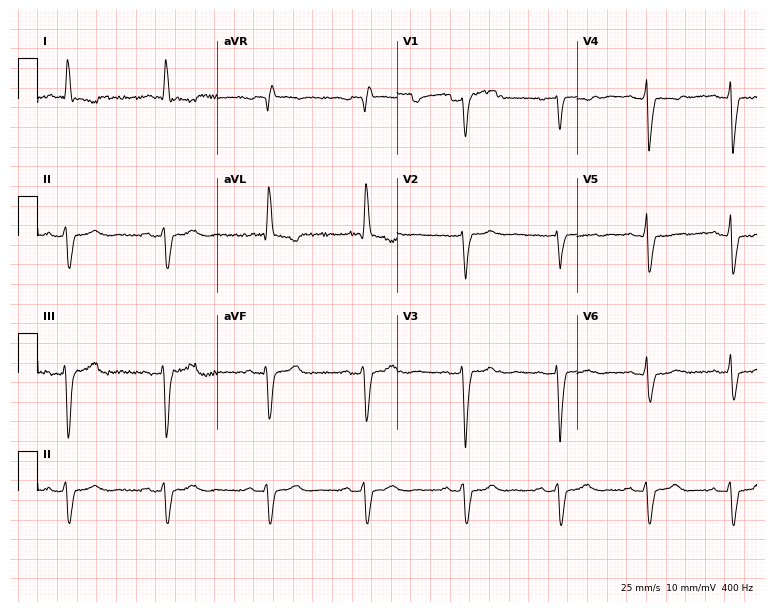
12-lead ECG (7.3-second recording at 400 Hz) from a 75-year-old female. Screened for six findings — first-degree AV block, right bundle branch block, left bundle branch block, sinus bradycardia, atrial fibrillation, sinus tachycardia — none is recorded.